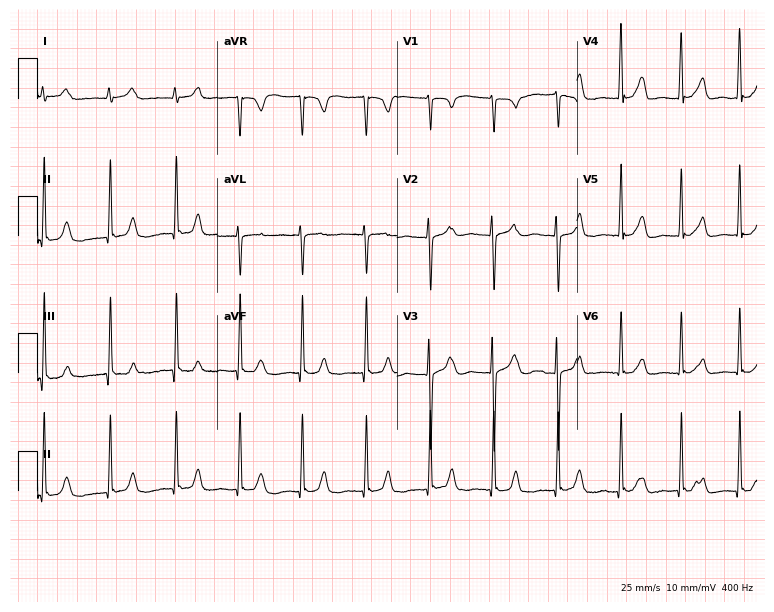
Electrocardiogram, a 25-year-old woman. Of the six screened findings (first-degree AV block, right bundle branch block, left bundle branch block, sinus bradycardia, atrial fibrillation, sinus tachycardia), none is recorded.